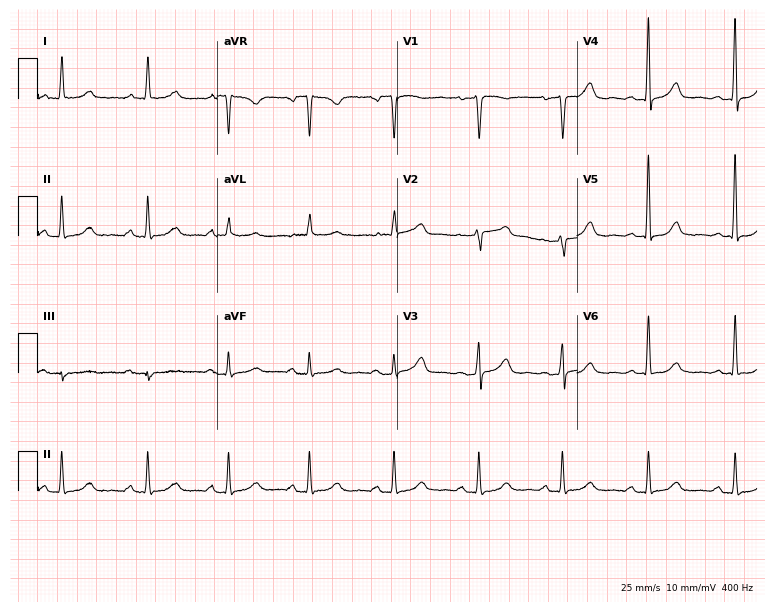
12-lead ECG (7.3-second recording at 400 Hz) from a woman, 62 years old. Labelled as a normal ECG.